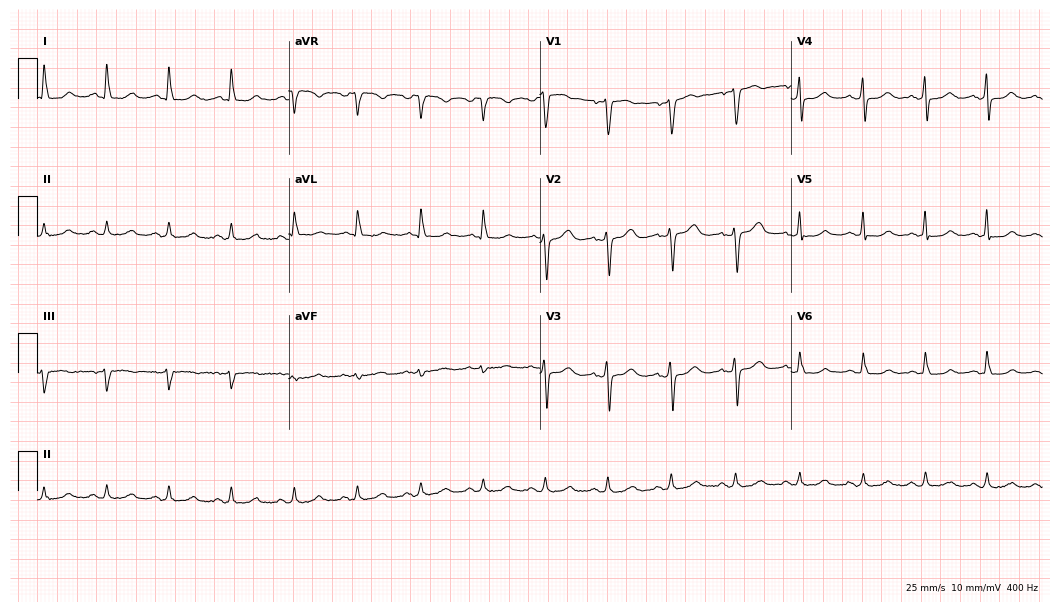
12-lead ECG from a 47-year-old female patient. Screened for six findings — first-degree AV block, right bundle branch block, left bundle branch block, sinus bradycardia, atrial fibrillation, sinus tachycardia — none is recorded.